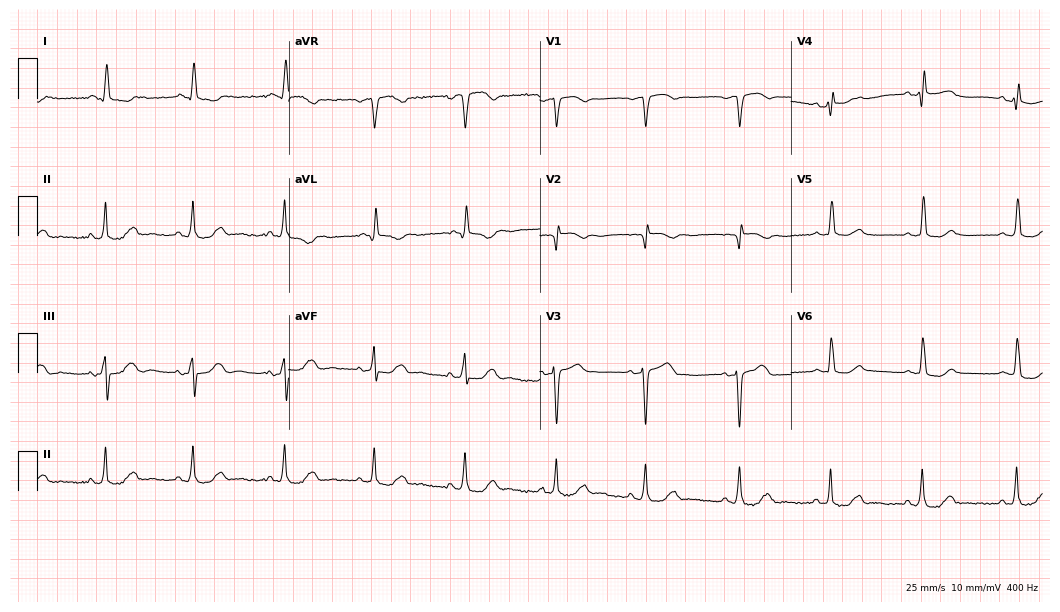
Electrocardiogram (10.2-second recording at 400 Hz), a 78-year-old female patient. Of the six screened findings (first-degree AV block, right bundle branch block (RBBB), left bundle branch block (LBBB), sinus bradycardia, atrial fibrillation (AF), sinus tachycardia), none is recorded. Other findings, if any, are not listed.